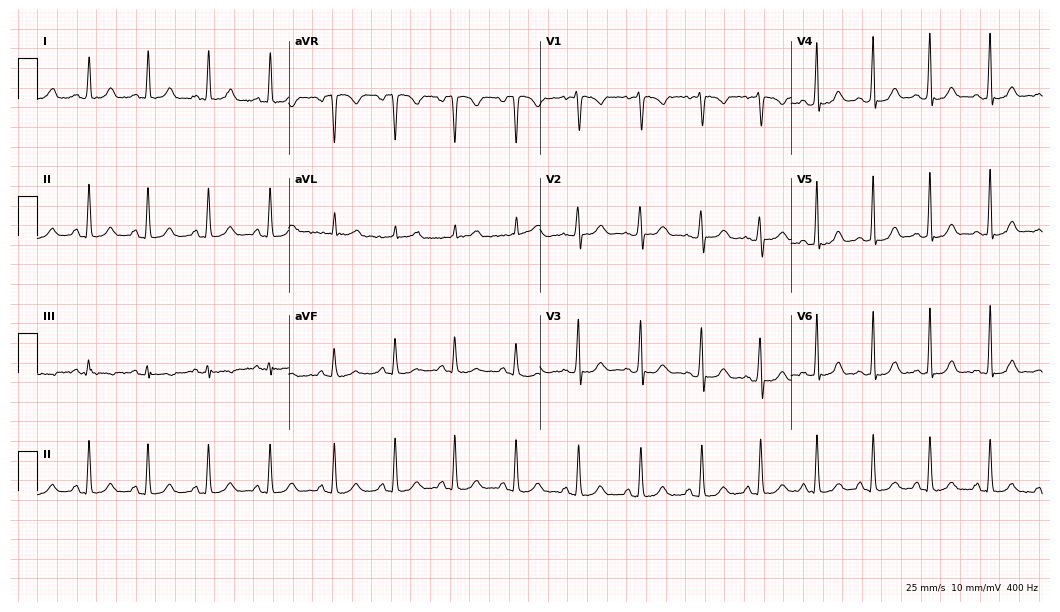
12-lead ECG from a 20-year-old female patient (10.2-second recording at 400 Hz). Recorded interpretation: within normal limits.